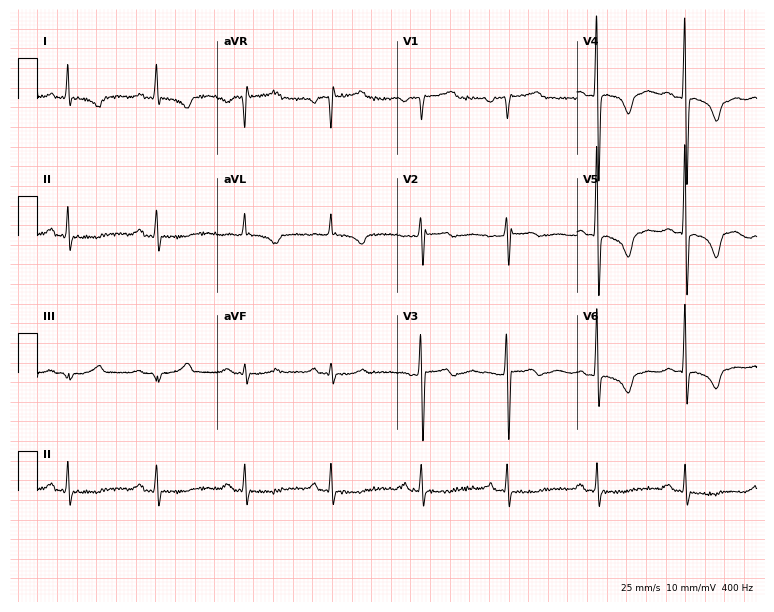
Standard 12-lead ECG recorded from a 51-year-old female. None of these six findings is recorded: first-degree AV block, right bundle branch block (RBBB), left bundle branch block (LBBB), sinus bradycardia, atrial fibrillation (AF), sinus tachycardia. Only these six findings were labelled.